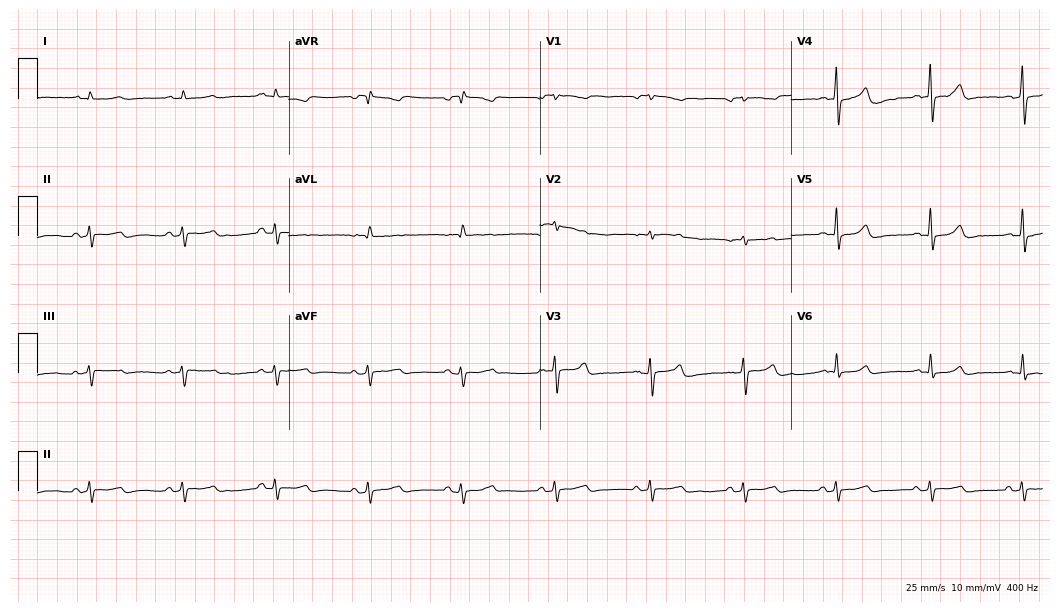
12-lead ECG from an 82-year-old male. Recorded interpretation: within normal limits.